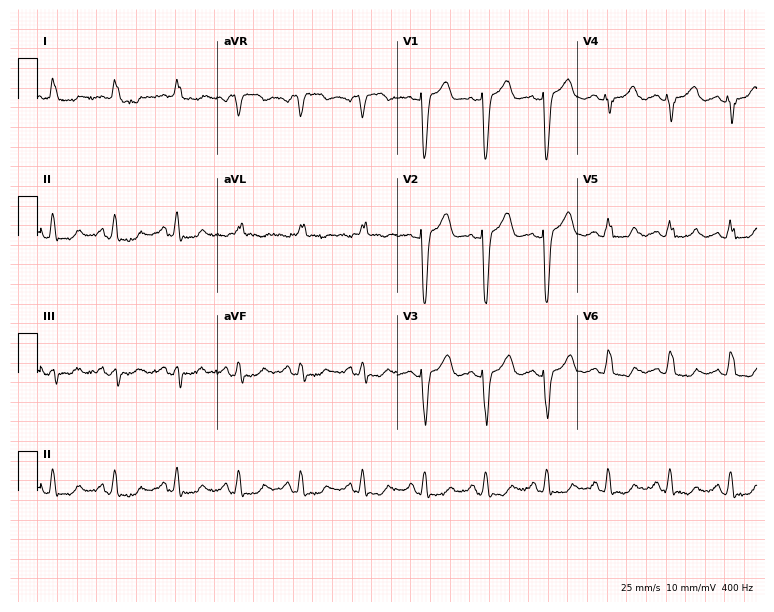
12-lead ECG from a female patient, 83 years old. Screened for six findings — first-degree AV block, right bundle branch block (RBBB), left bundle branch block (LBBB), sinus bradycardia, atrial fibrillation (AF), sinus tachycardia — none is recorded.